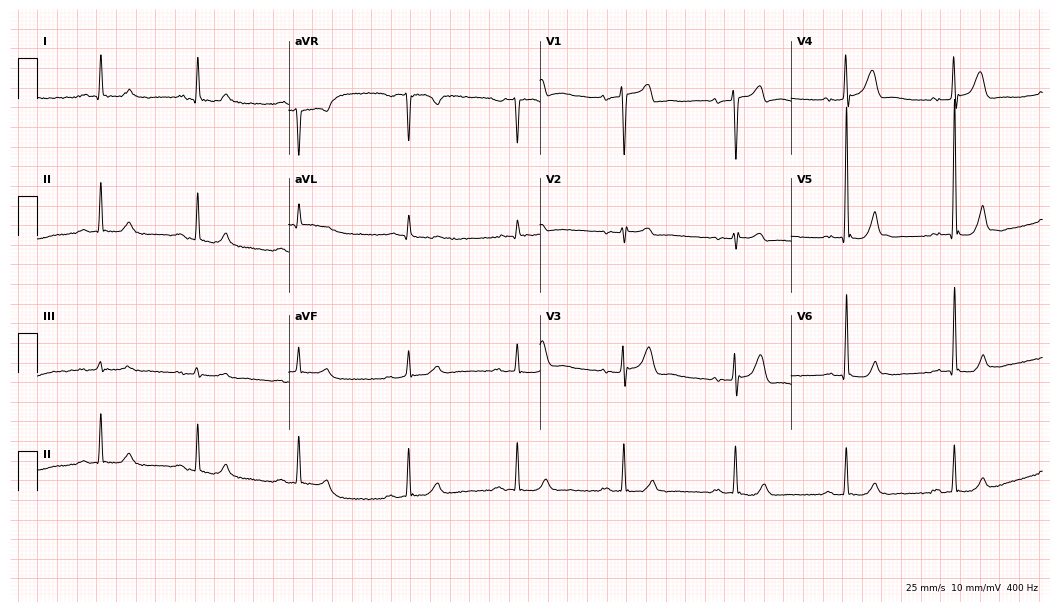
12-lead ECG from a 47-year-old male (10.2-second recording at 400 Hz). Recorded interpretation: within normal limits.